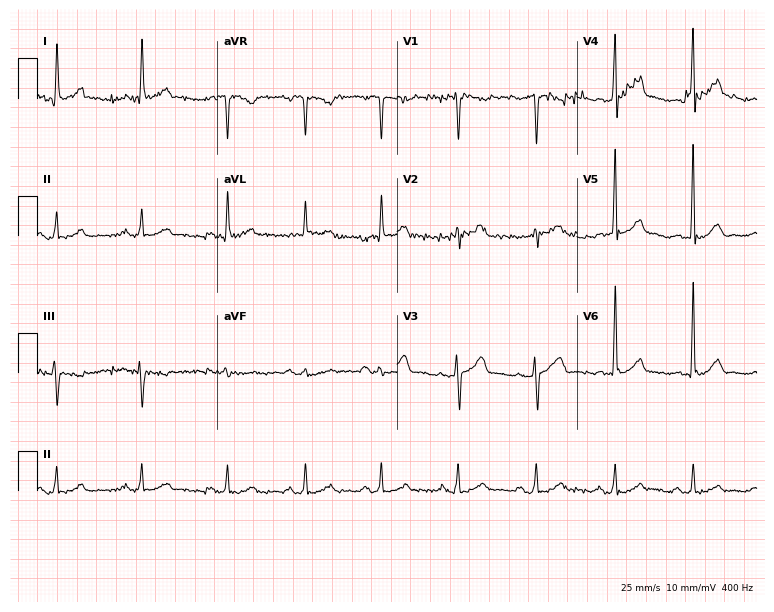
Electrocardiogram, a 51-year-old male patient. Of the six screened findings (first-degree AV block, right bundle branch block (RBBB), left bundle branch block (LBBB), sinus bradycardia, atrial fibrillation (AF), sinus tachycardia), none is recorded. Findings outside these six are not listed.